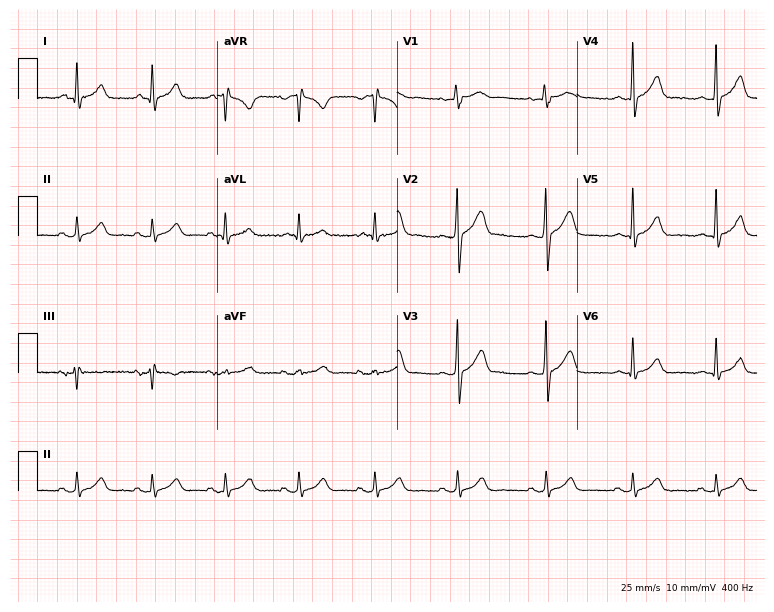
12-lead ECG from a male, 38 years old (7.3-second recording at 400 Hz). Recorded interpretation: within normal limits.